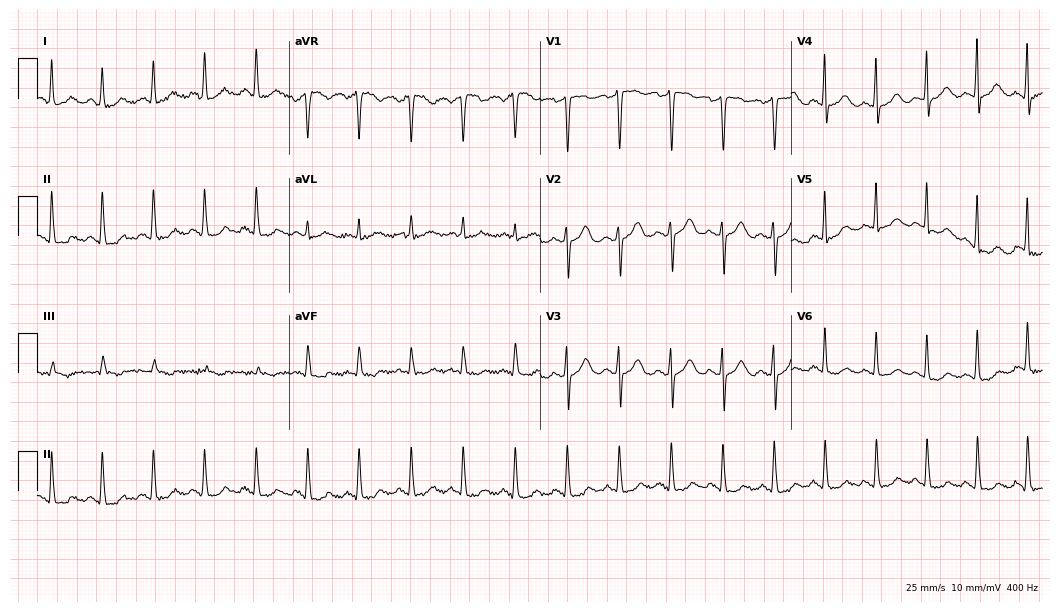
ECG — a female patient, 53 years old. Findings include sinus tachycardia (a sinus rate of 100 beats per minute or more).